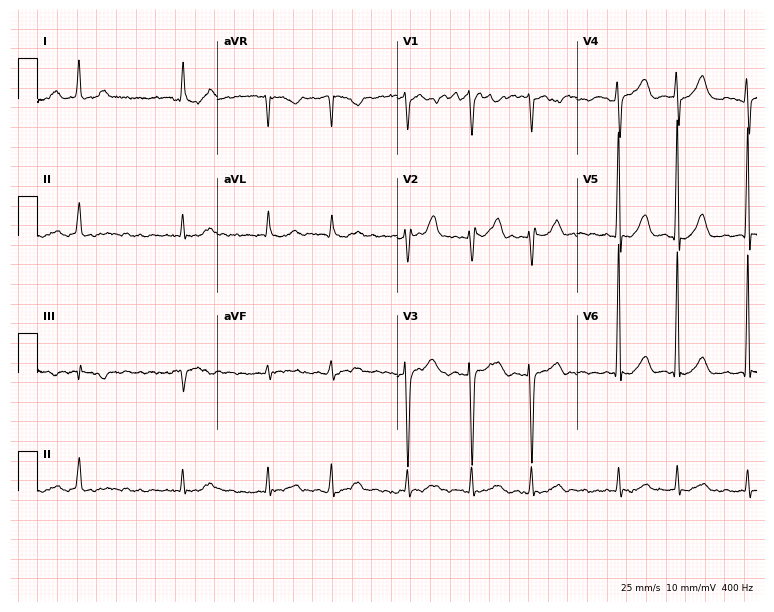
Electrocardiogram, a 55-year-old man. Interpretation includes atrial fibrillation.